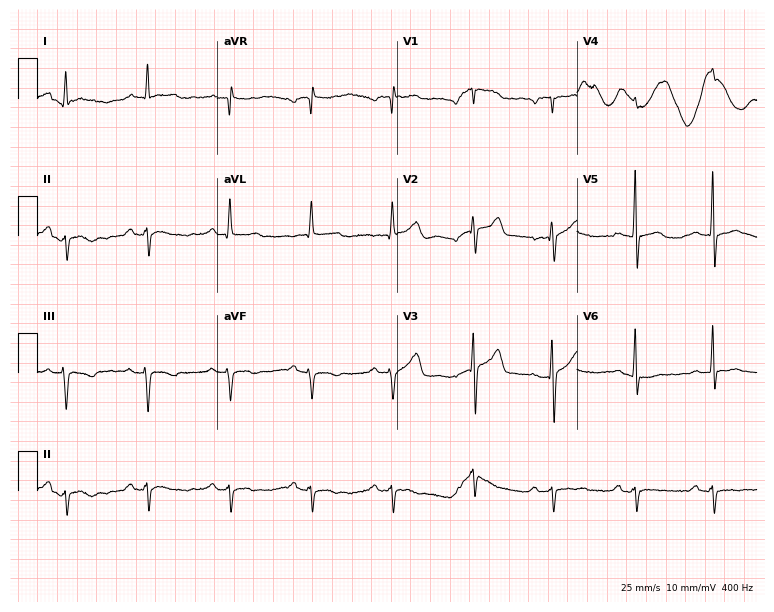
ECG (7.3-second recording at 400 Hz) — a 64-year-old male patient. Screened for six findings — first-degree AV block, right bundle branch block, left bundle branch block, sinus bradycardia, atrial fibrillation, sinus tachycardia — none is recorded. Other findings, if any, are not listed.